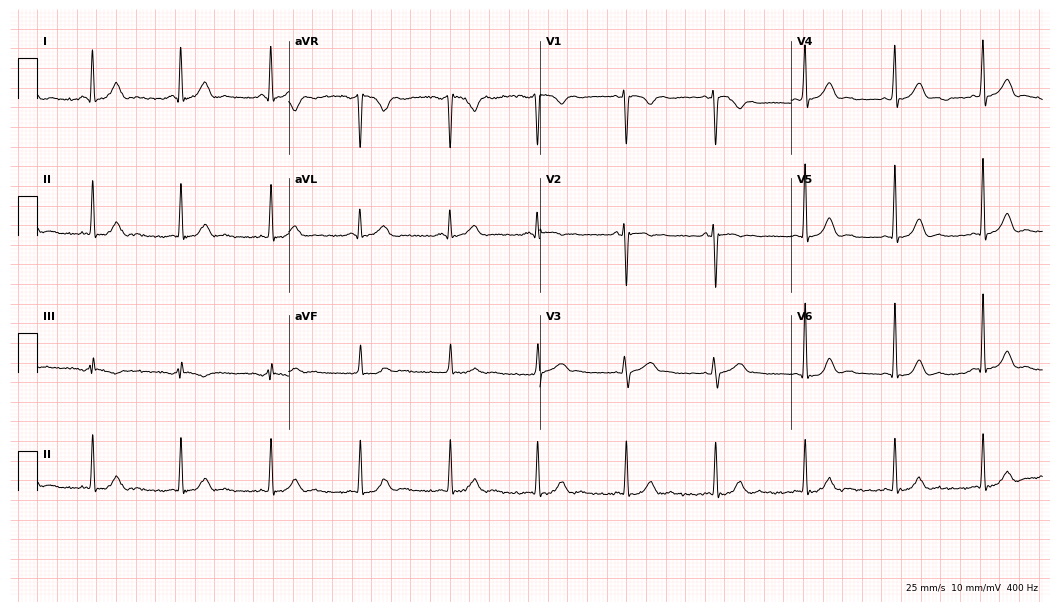
12-lead ECG from a female patient, 25 years old. Recorded interpretation: within normal limits.